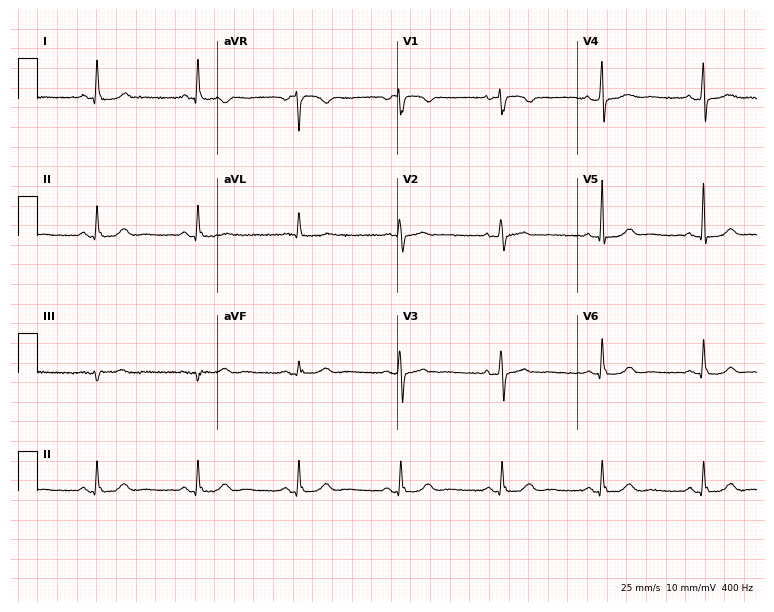
12-lead ECG (7.3-second recording at 400 Hz) from a 51-year-old female patient. Labelled as a normal ECG.